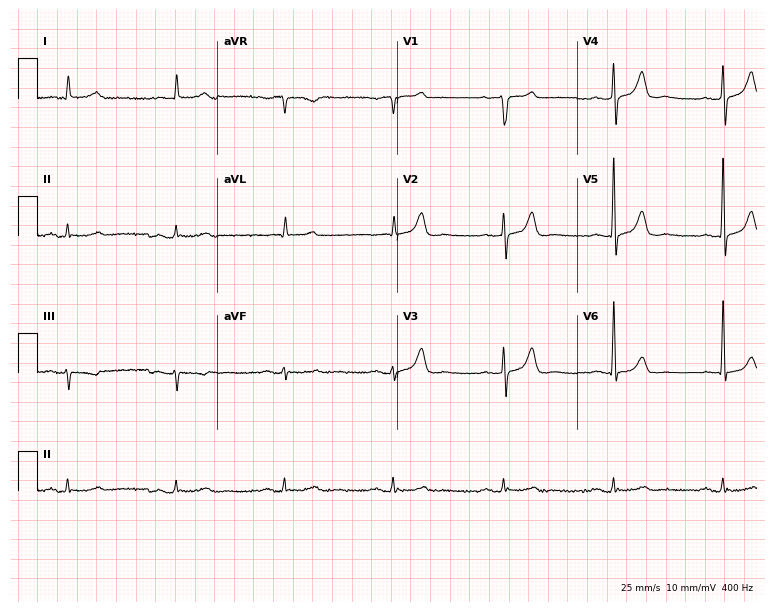
ECG — a male patient, 81 years old. Labelled as a normal ECG.